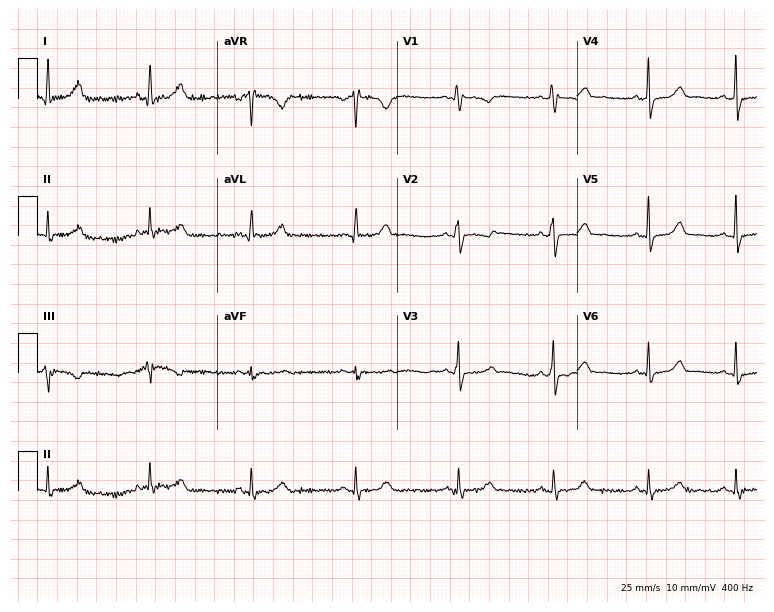
Resting 12-lead electrocardiogram (7.3-second recording at 400 Hz). Patient: a 31-year-old woman. None of these six findings is recorded: first-degree AV block, right bundle branch block, left bundle branch block, sinus bradycardia, atrial fibrillation, sinus tachycardia. Other findings, if any, are not listed.